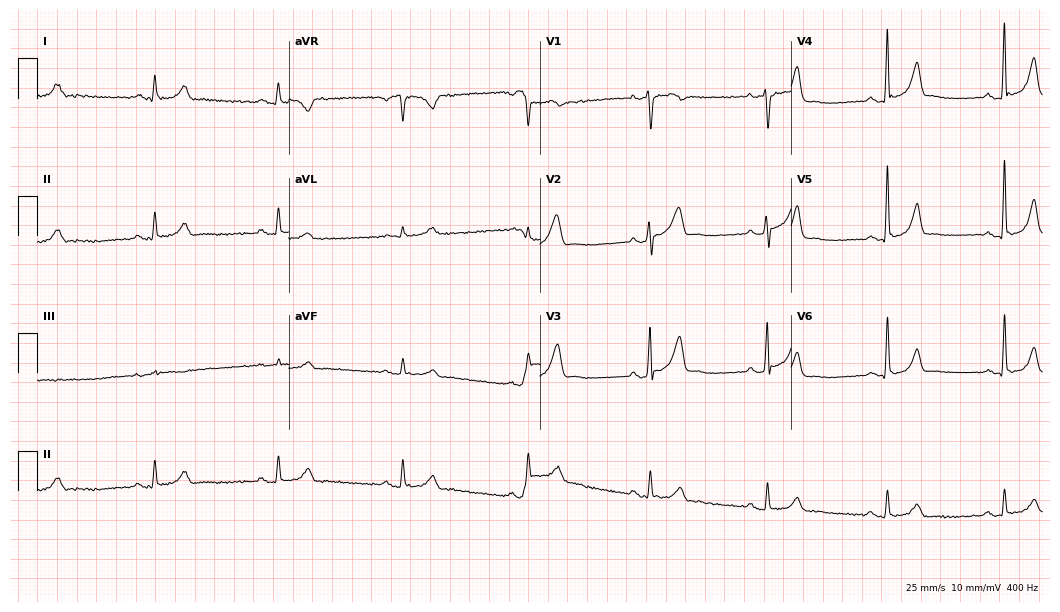
Resting 12-lead electrocardiogram. Patient: a 34-year-old man. None of these six findings is recorded: first-degree AV block, right bundle branch block (RBBB), left bundle branch block (LBBB), sinus bradycardia, atrial fibrillation (AF), sinus tachycardia. Other findings, if any, are not listed.